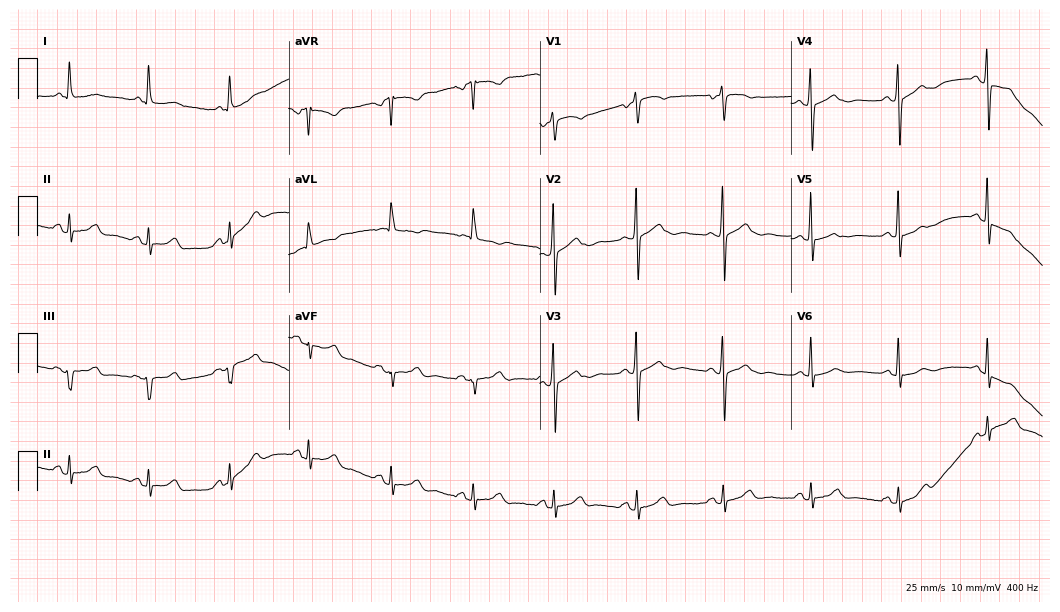
Resting 12-lead electrocardiogram (10.2-second recording at 400 Hz). Patient: a 79-year-old woman. Read as a normal ECG.